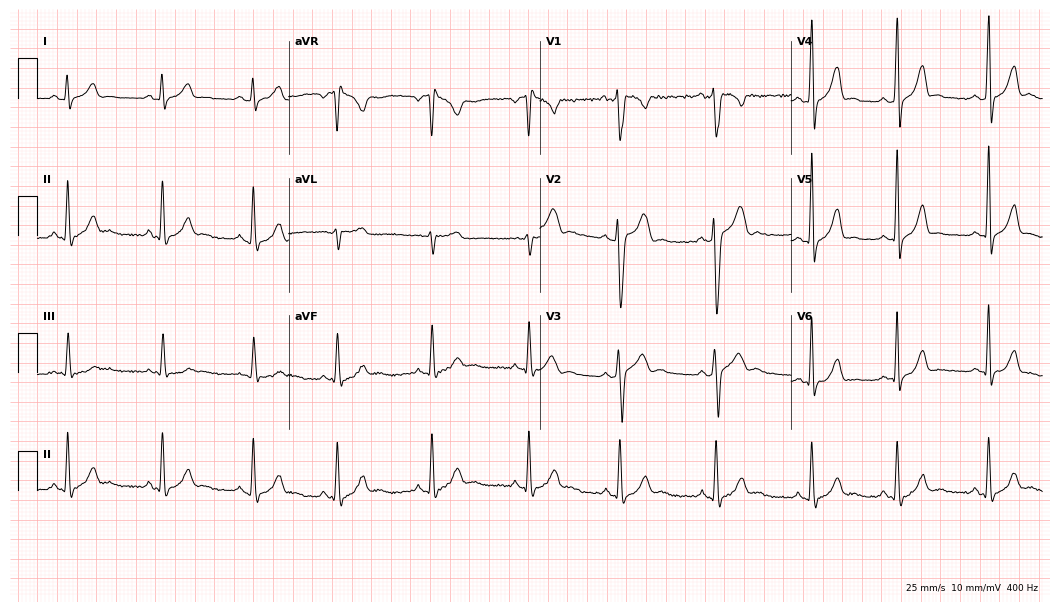
ECG — a man, 19 years old. Labelled as a normal ECG.